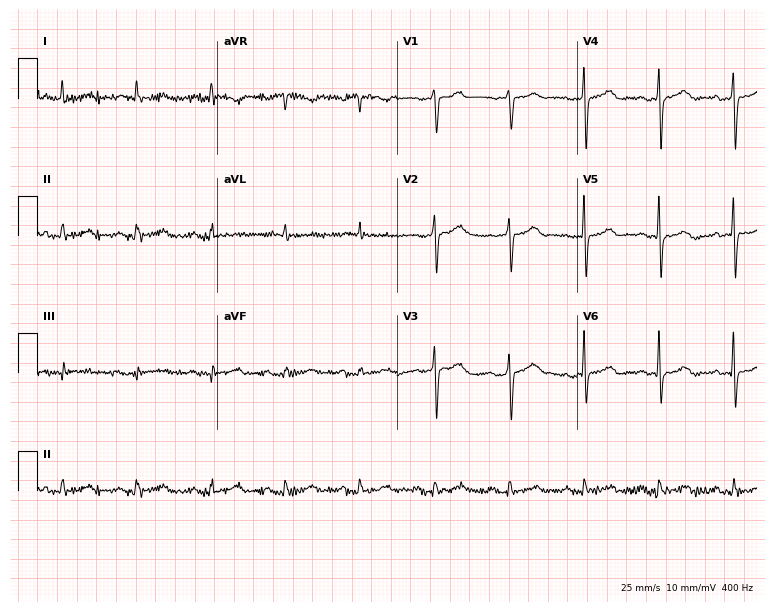
Resting 12-lead electrocardiogram (7.3-second recording at 400 Hz). Patient: a woman, 65 years old. Read as a normal ECG.